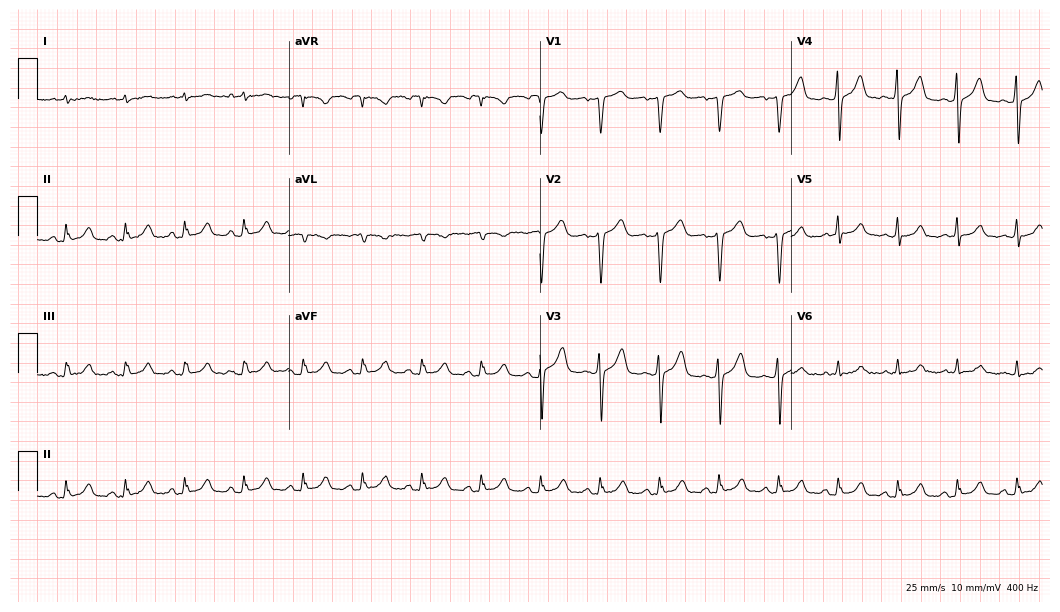
12-lead ECG from a male, 49 years old. No first-degree AV block, right bundle branch block (RBBB), left bundle branch block (LBBB), sinus bradycardia, atrial fibrillation (AF) or sinus tachycardia recorded for this tracing.